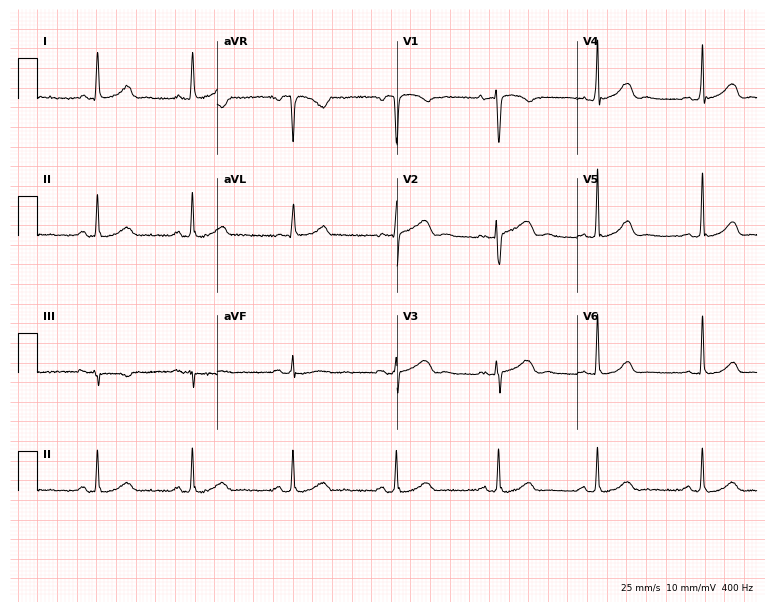
12-lead ECG from a woman, 48 years old (7.3-second recording at 400 Hz). No first-degree AV block, right bundle branch block (RBBB), left bundle branch block (LBBB), sinus bradycardia, atrial fibrillation (AF) or sinus tachycardia recorded for this tracing. Only these six findings were labelled.